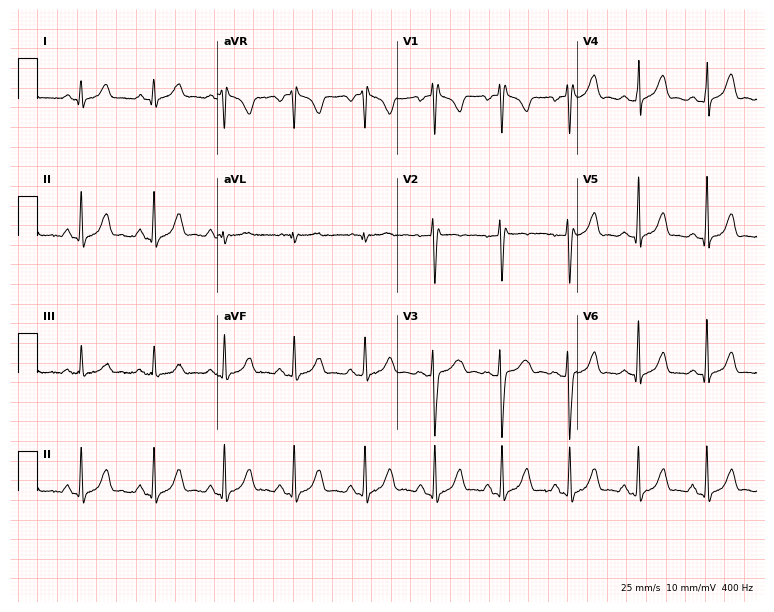
ECG — a 25-year-old female patient. Screened for six findings — first-degree AV block, right bundle branch block (RBBB), left bundle branch block (LBBB), sinus bradycardia, atrial fibrillation (AF), sinus tachycardia — none is recorded.